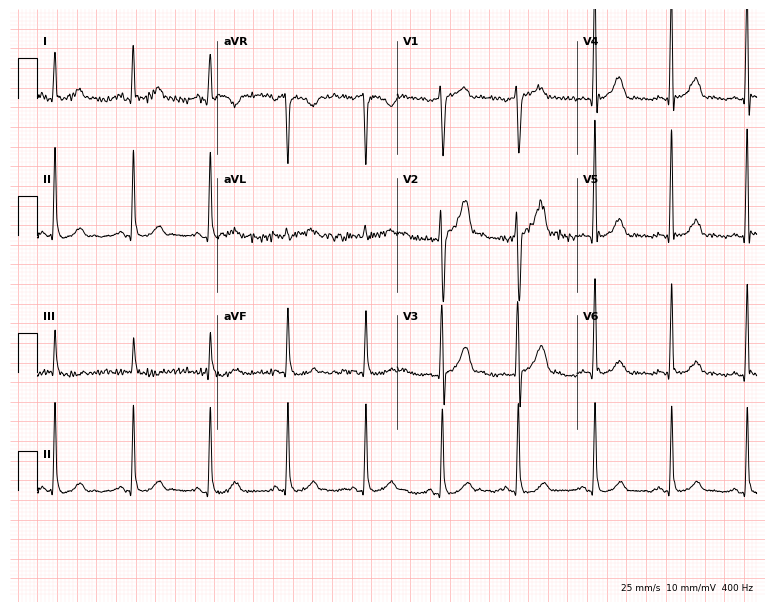
12-lead ECG (7.3-second recording at 400 Hz) from a man, 42 years old. Labelled as a normal ECG.